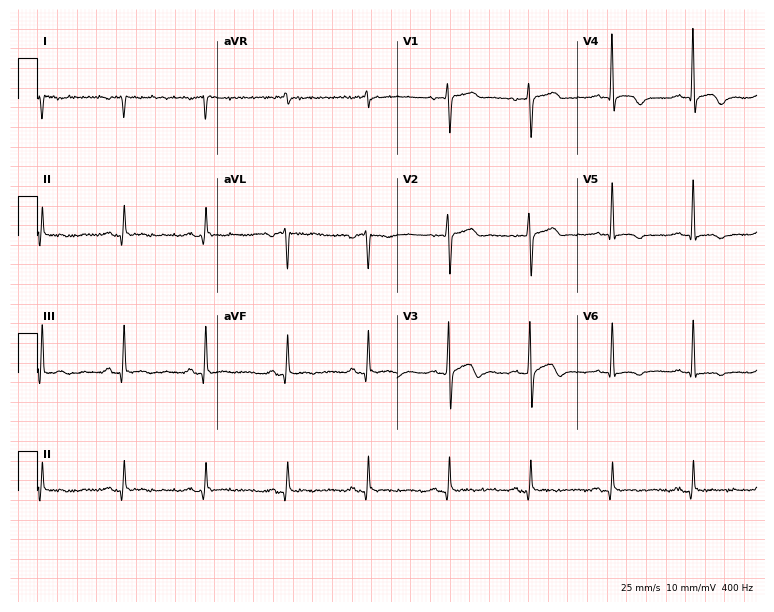
Resting 12-lead electrocardiogram. Patient: a male, 73 years old. None of these six findings is recorded: first-degree AV block, right bundle branch block, left bundle branch block, sinus bradycardia, atrial fibrillation, sinus tachycardia. Only these six findings were labelled.